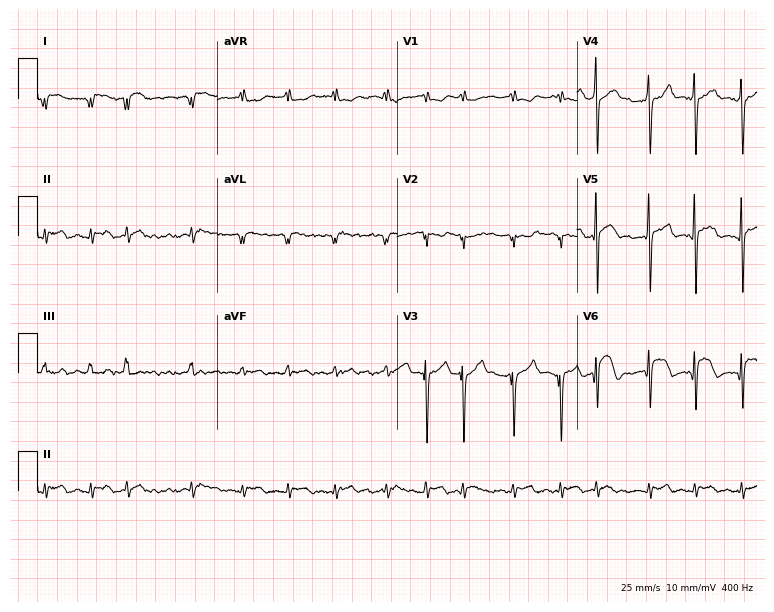
12-lead ECG from a male, 77 years old. Shows atrial fibrillation.